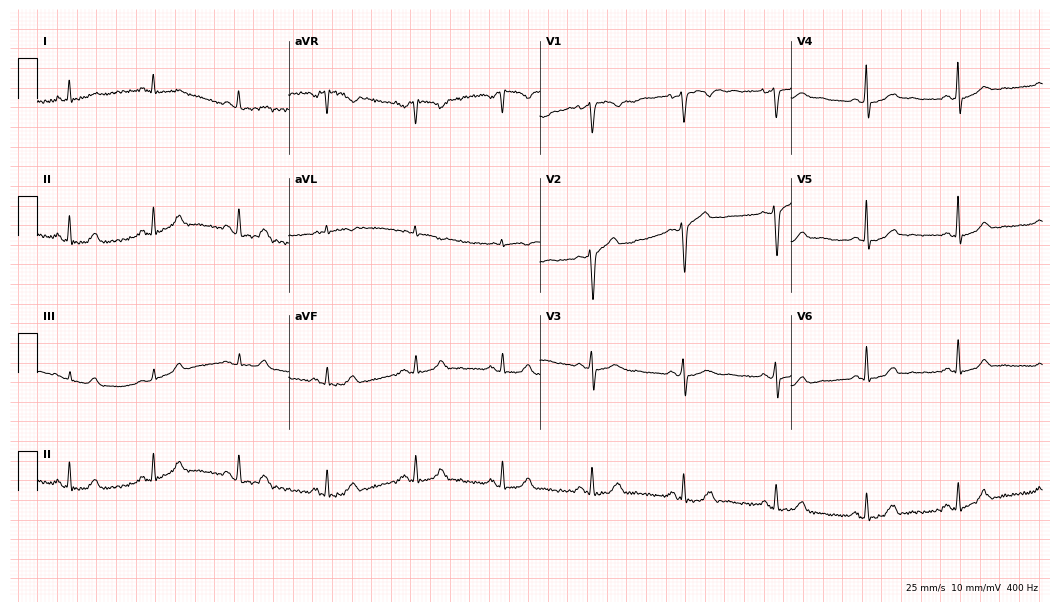
Resting 12-lead electrocardiogram (10.2-second recording at 400 Hz). Patient: a 48-year-old woman. Read as a normal ECG.